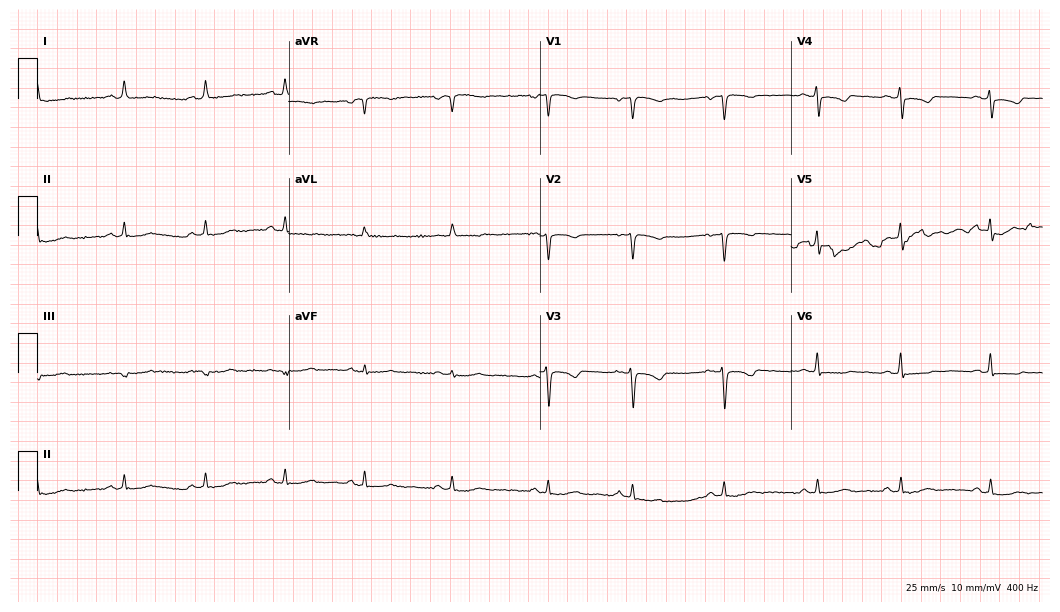
12-lead ECG from a 45-year-old female patient (10.2-second recording at 400 Hz). No first-degree AV block, right bundle branch block, left bundle branch block, sinus bradycardia, atrial fibrillation or sinus tachycardia recorded for this tracing.